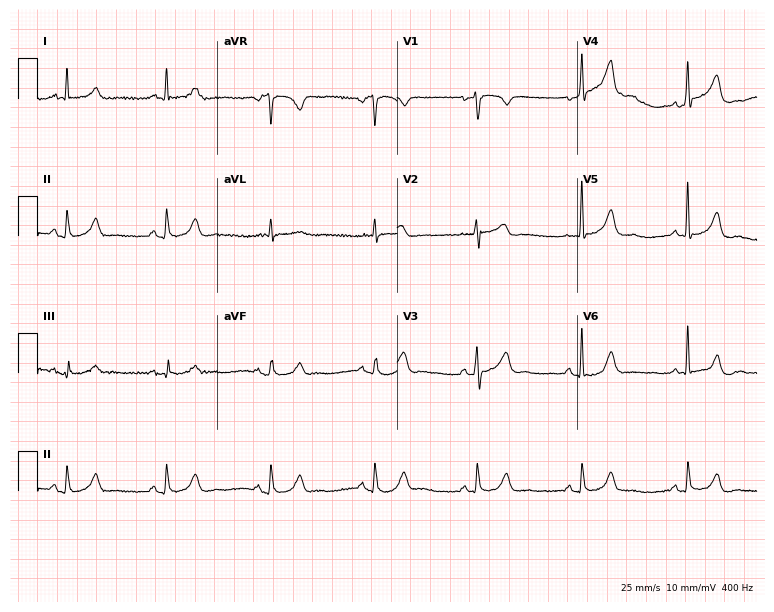
ECG — a man, 48 years old. Labelled as a normal ECG.